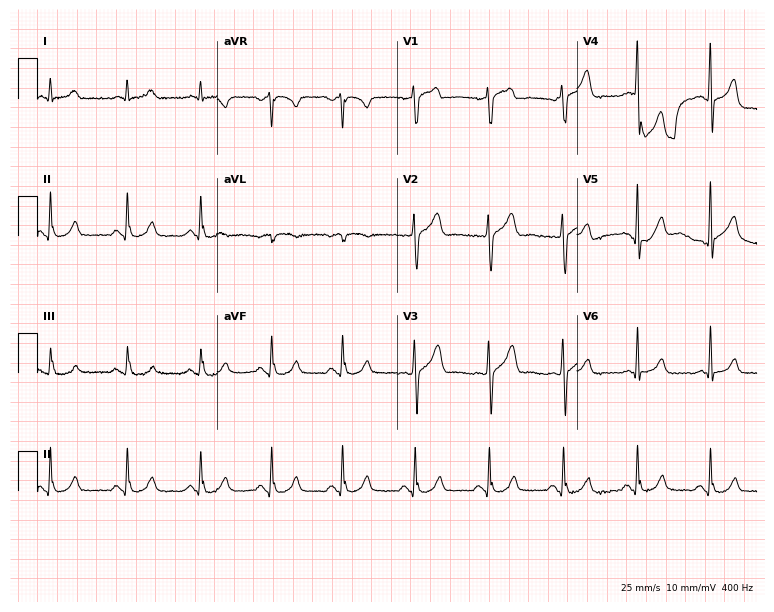
Standard 12-lead ECG recorded from a 48-year-old male. Read as a normal ECG.